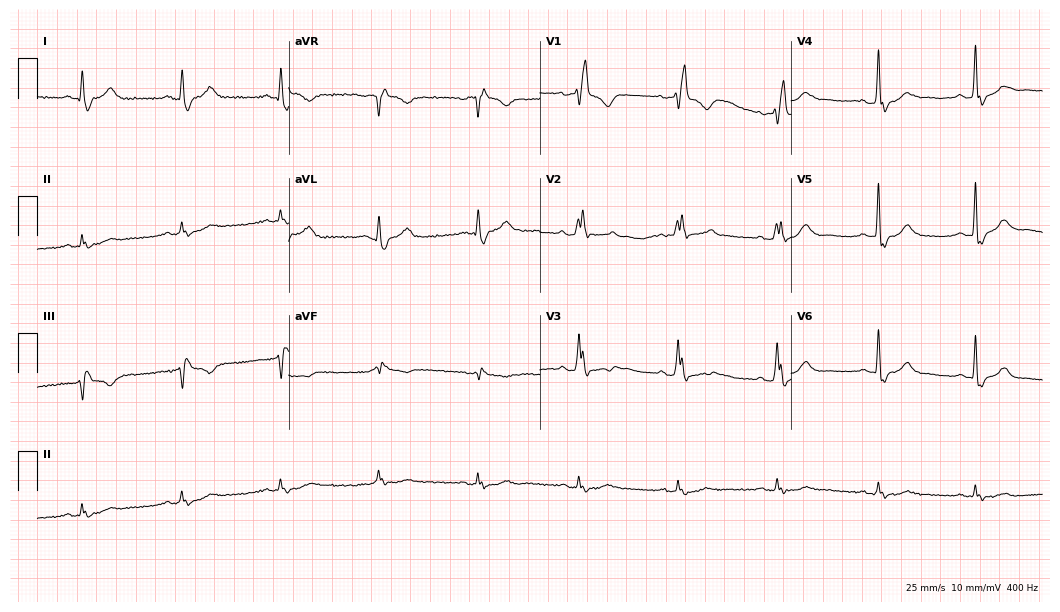
12-lead ECG from a man, 72 years old. Shows right bundle branch block (RBBB).